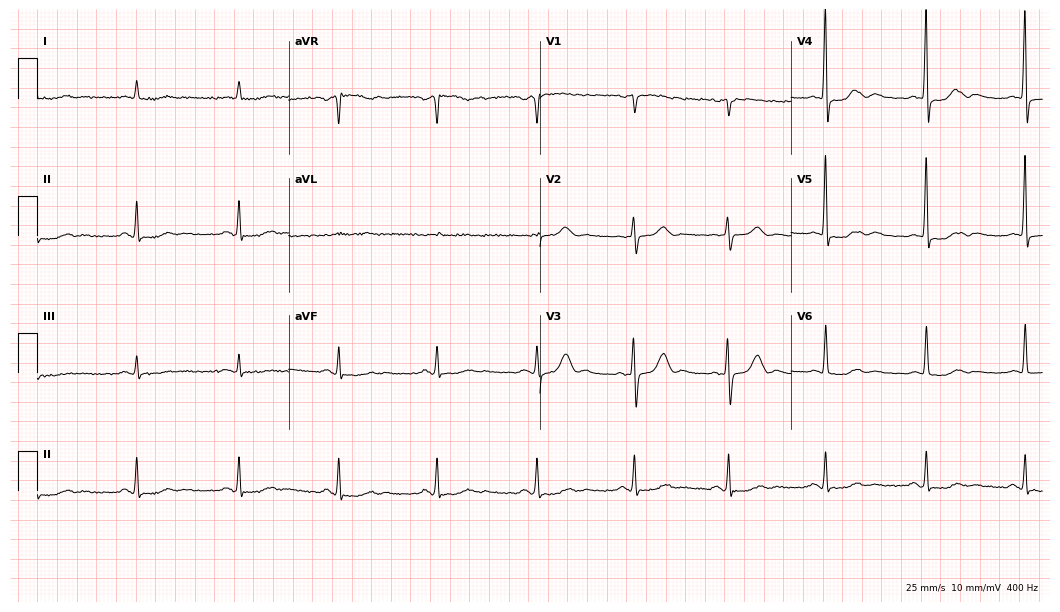
12-lead ECG from a woman, 81 years old. Screened for six findings — first-degree AV block, right bundle branch block, left bundle branch block, sinus bradycardia, atrial fibrillation, sinus tachycardia — none is recorded.